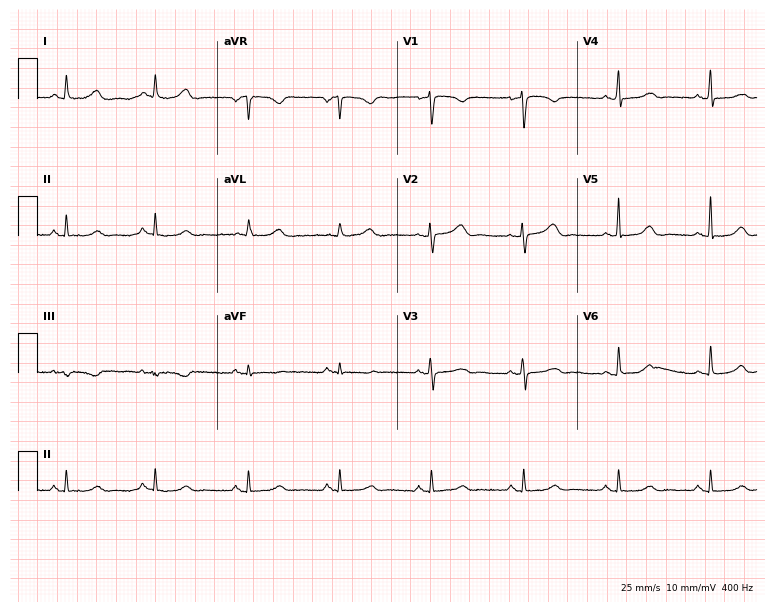
Resting 12-lead electrocardiogram (7.3-second recording at 400 Hz). Patient: a 47-year-old female. None of these six findings is recorded: first-degree AV block, right bundle branch block, left bundle branch block, sinus bradycardia, atrial fibrillation, sinus tachycardia.